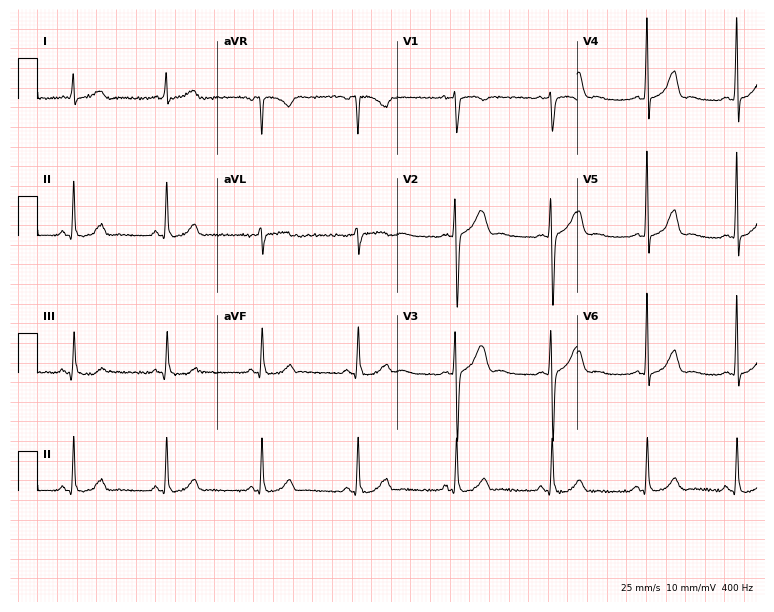
12-lead ECG from a female, 30 years old. Recorded interpretation: within normal limits.